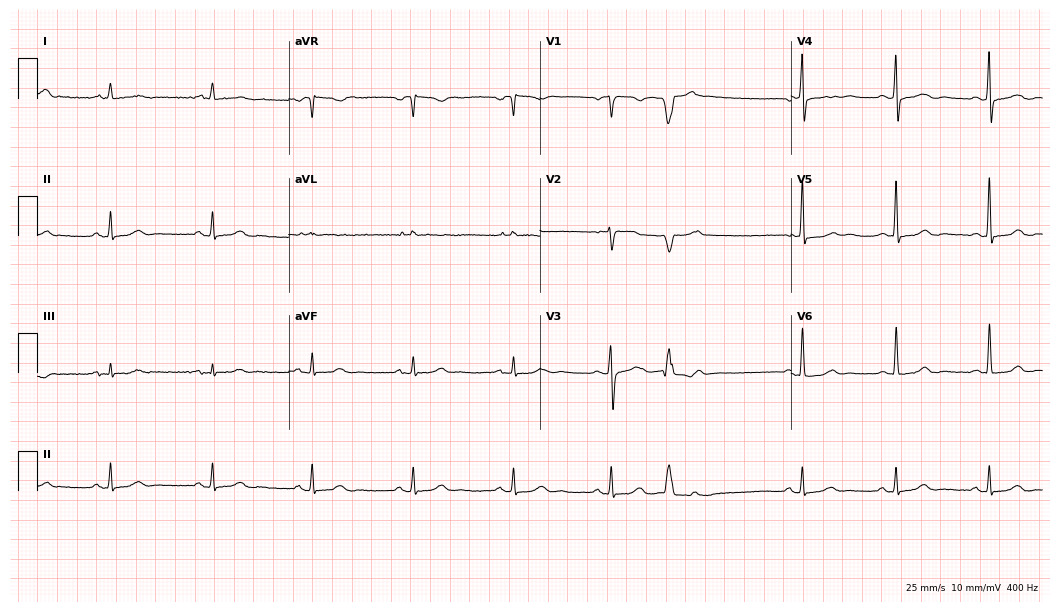
ECG (10.2-second recording at 400 Hz) — a 71-year-old woman. Labelled as a normal ECG.